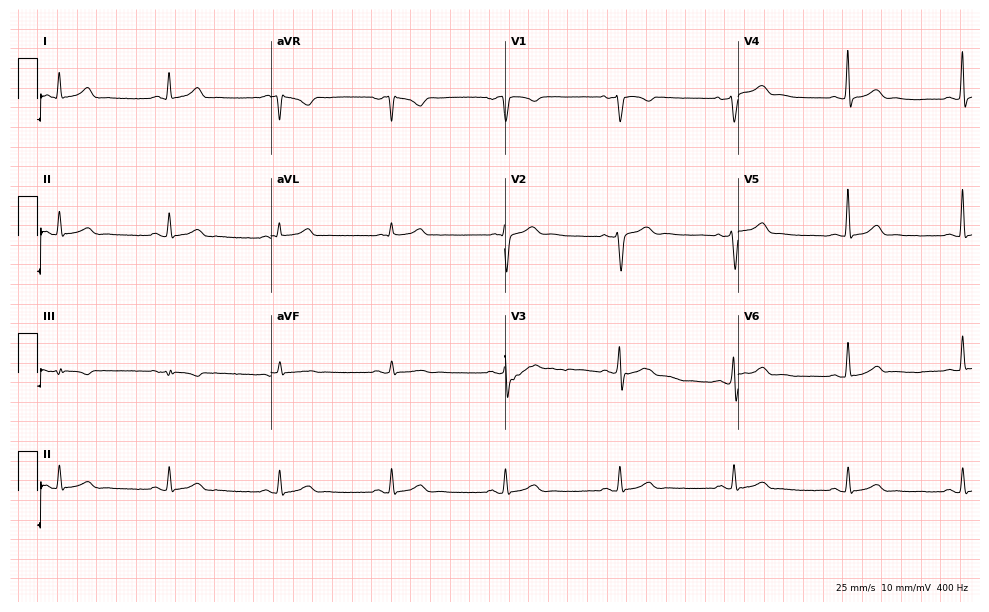
Electrocardiogram, a 50-year-old male. Of the six screened findings (first-degree AV block, right bundle branch block, left bundle branch block, sinus bradycardia, atrial fibrillation, sinus tachycardia), none is recorded.